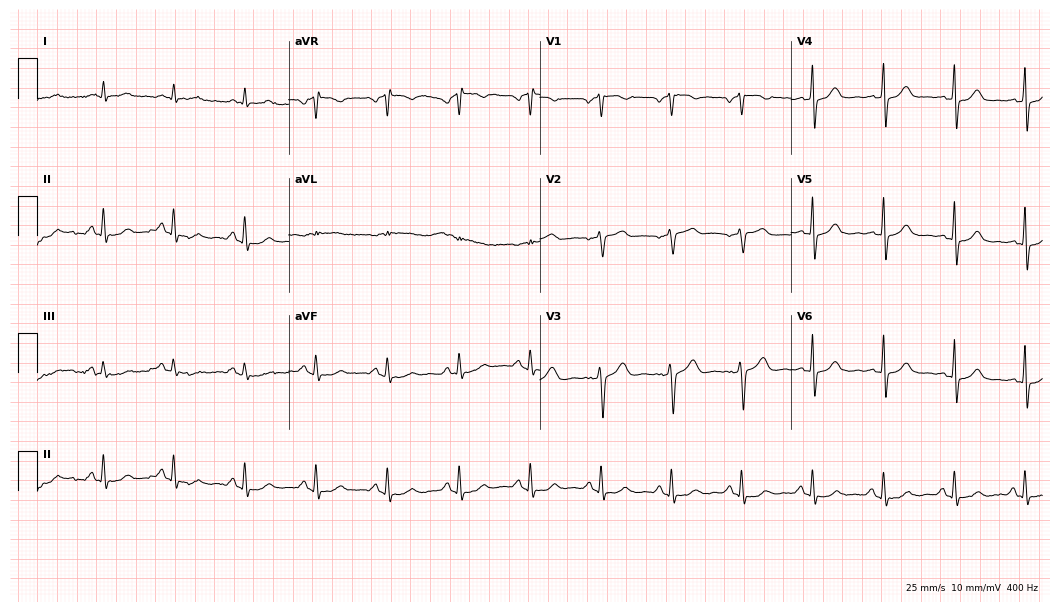
Electrocardiogram, a 73-year-old male. Of the six screened findings (first-degree AV block, right bundle branch block (RBBB), left bundle branch block (LBBB), sinus bradycardia, atrial fibrillation (AF), sinus tachycardia), none is recorded.